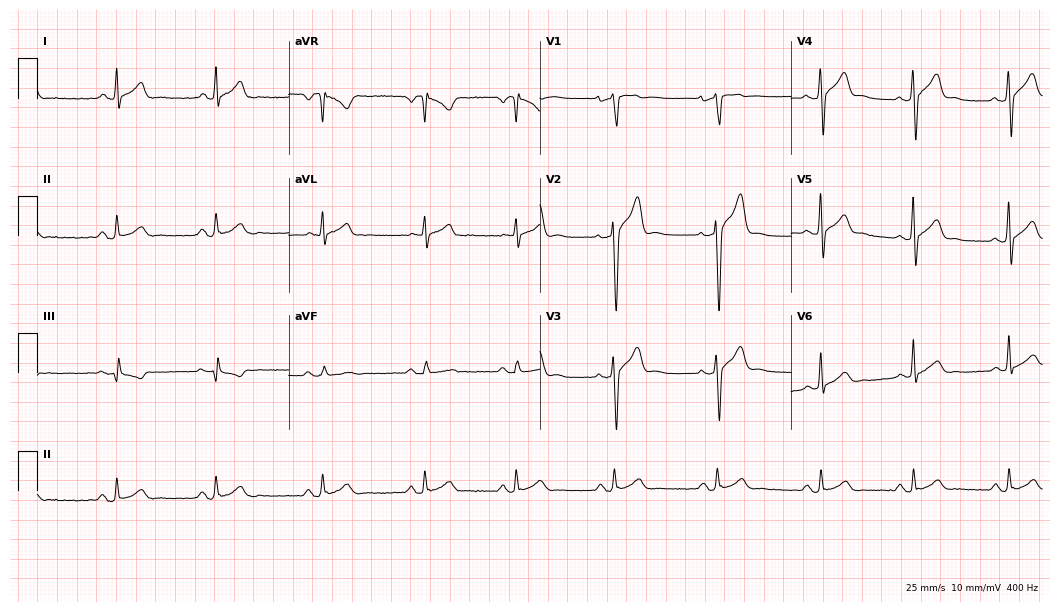
12-lead ECG from a male, 29 years old (10.2-second recording at 400 Hz). Recorded interpretation: within normal limits.